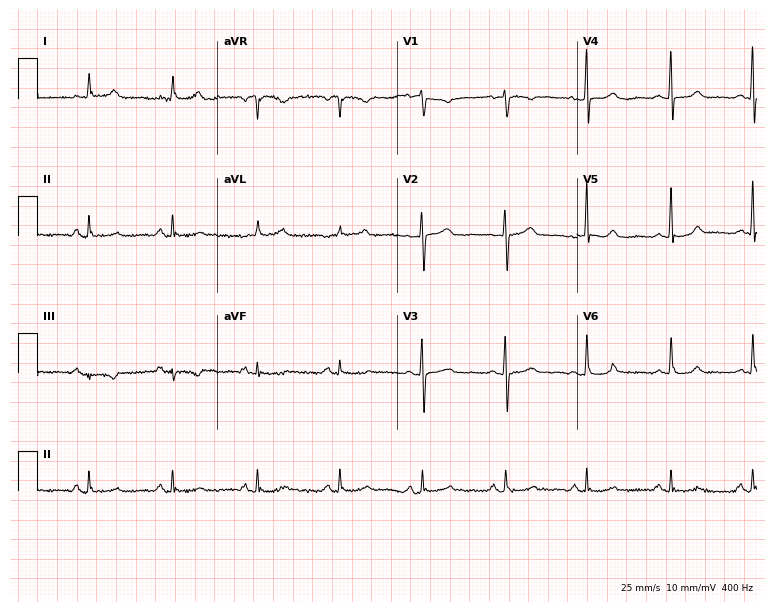
12-lead ECG from a woman, 60 years old. Labelled as a normal ECG.